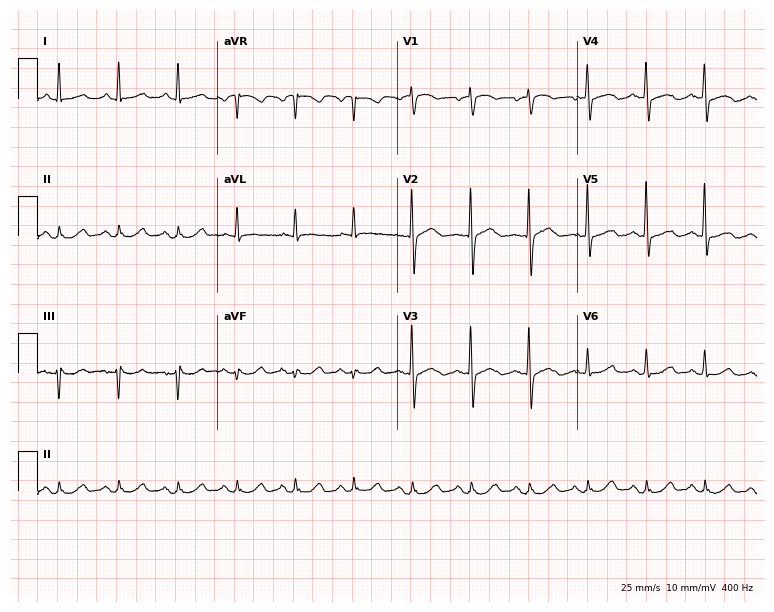
Electrocardiogram, a male, 60 years old. Overall reading on record: normal ECG.